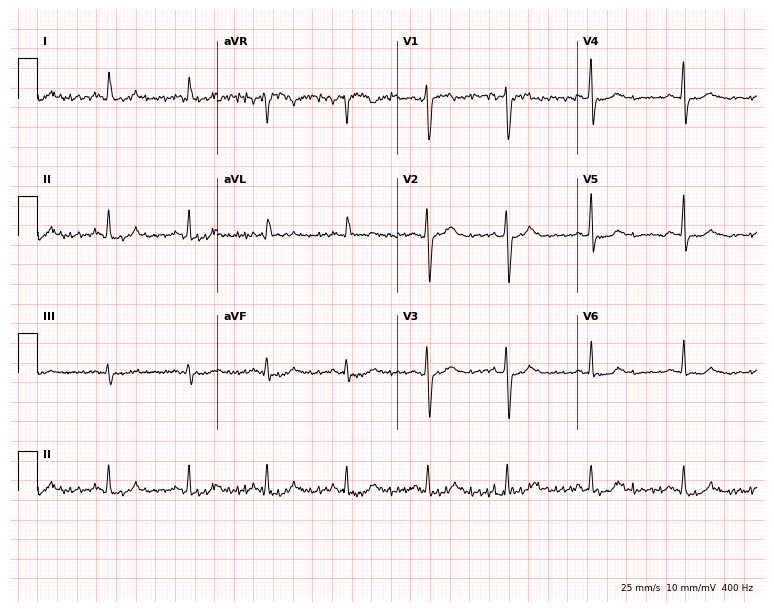
Standard 12-lead ECG recorded from a 49-year-old woman (7.3-second recording at 400 Hz). Read as a normal ECG.